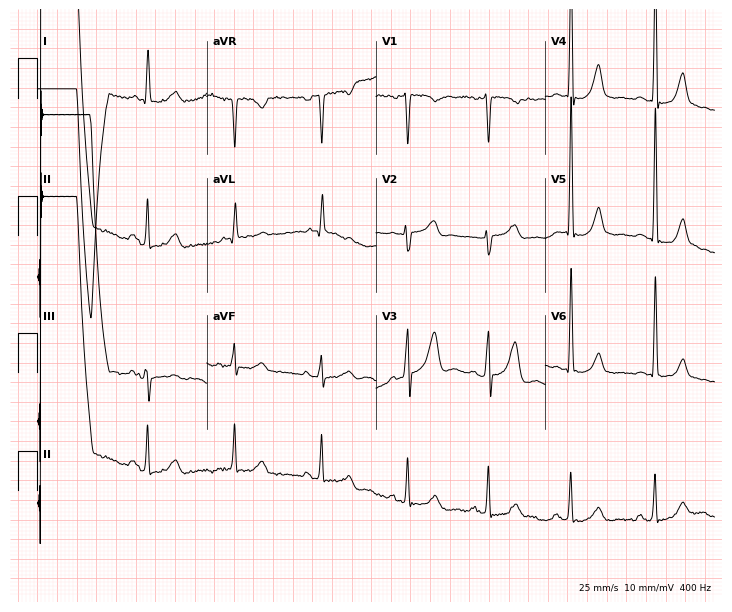
12-lead ECG from a female patient, 59 years old (6.9-second recording at 400 Hz). Recorded interpretation: within normal limits.